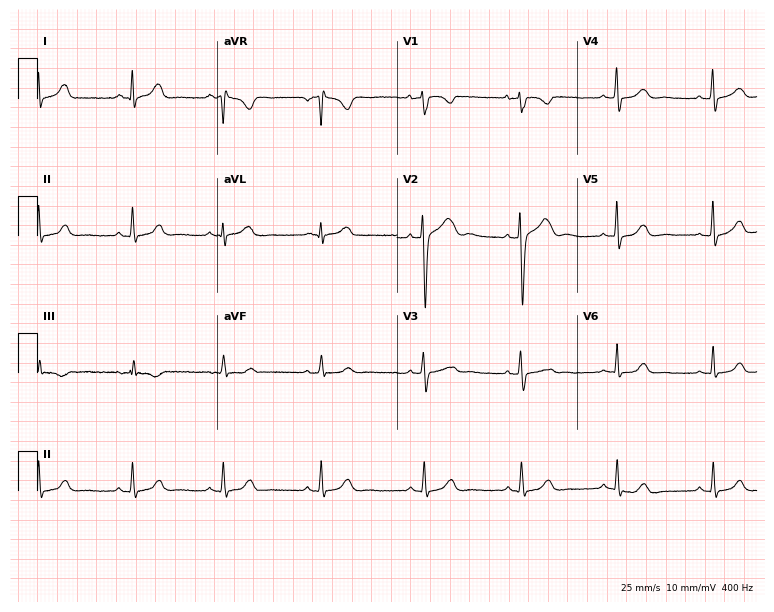
ECG — a 32-year-old female. Labelled as a normal ECG.